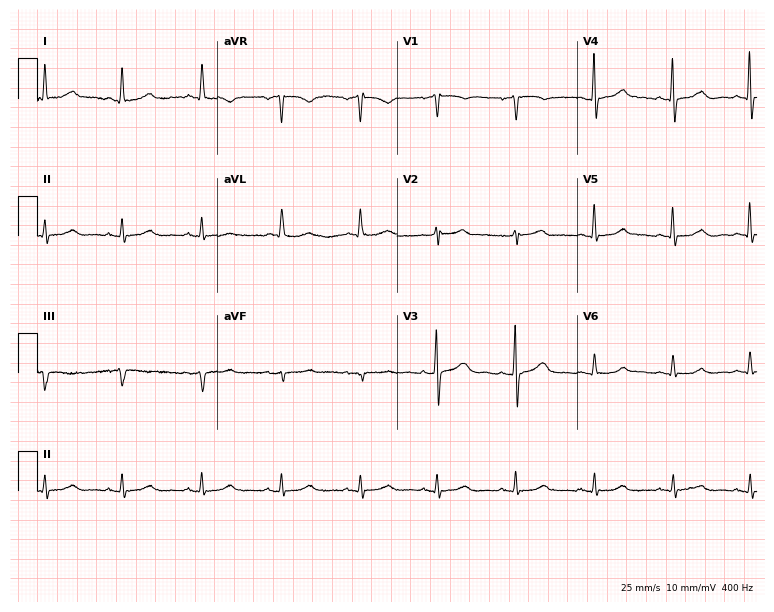
12-lead ECG (7.3-second recording at 400 Hz) from a woman, 82 years old. Labelled as a normal ECG.